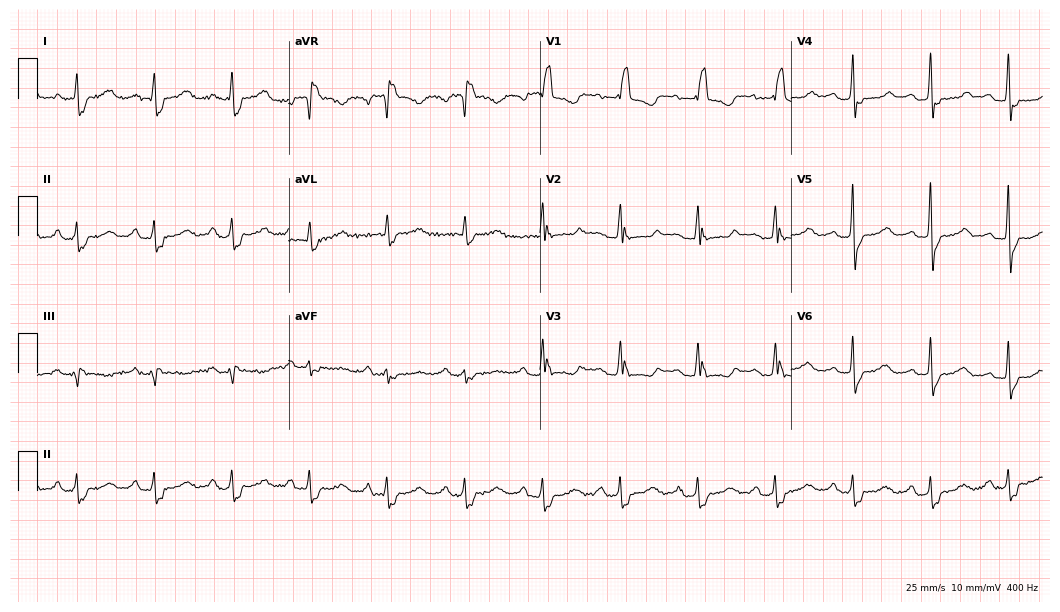
Resting 12-lead electrocardiogram (10.2-second recording at 400 Hz). Patient: a 62-year-old female. The tracing shows right bundle branch block.